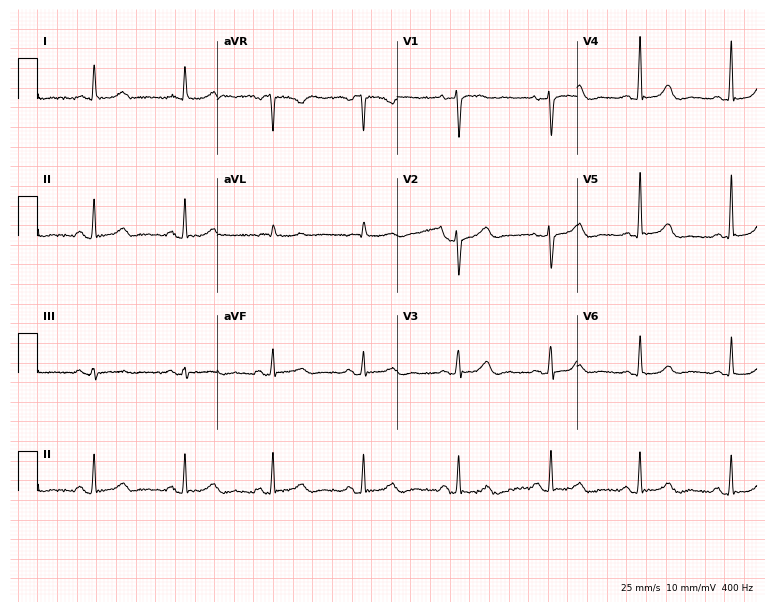
Electrocardiogram (7.3-second recording at 400 Hz), a woman, 51 years old. Overall reading on record: normal ECG.